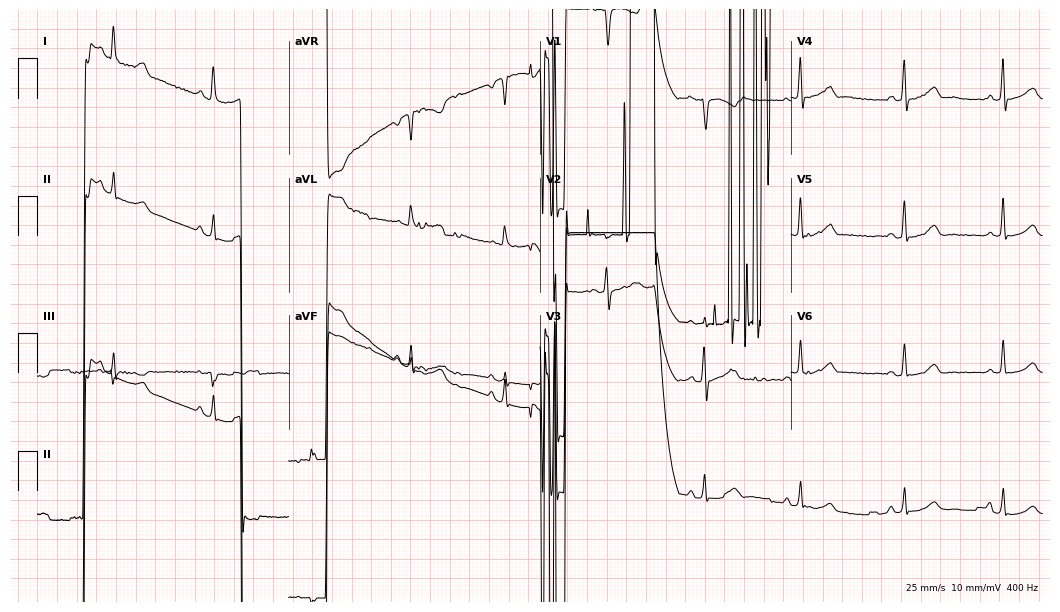
ECG — a woman, 55 years old. Screened for six findings — first-degree AV block, right bundle branch block, left bundle branch block, sinus bradycardia, atrial fibrillation, sinus tachycardia — none is recorded. Findings outside these six are not listed.